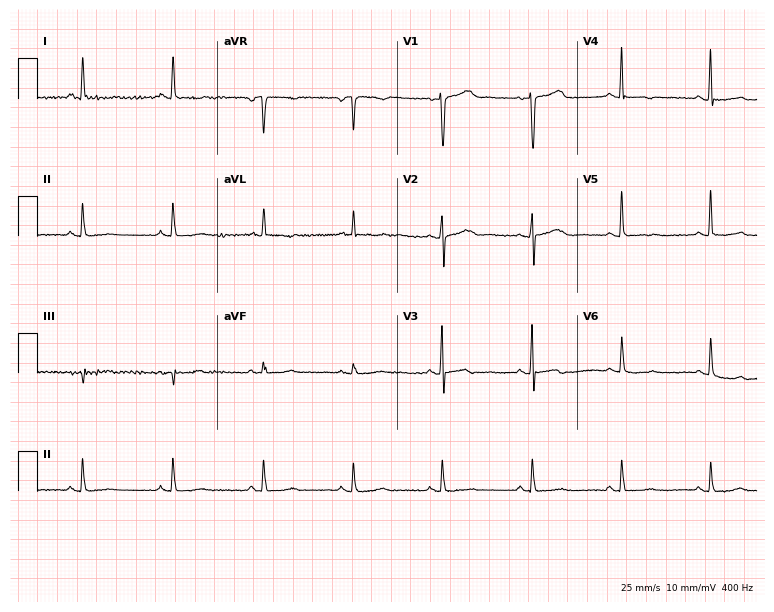
ECG (7.3-second recording at 400 Hz) — a woman, 81 years old. Screened for six findings — first-degree AV block, right bundle branch block, left bundle branch block, sinus bradycardia, atrial fibrillation, sinus tachycardia — none is recorded.